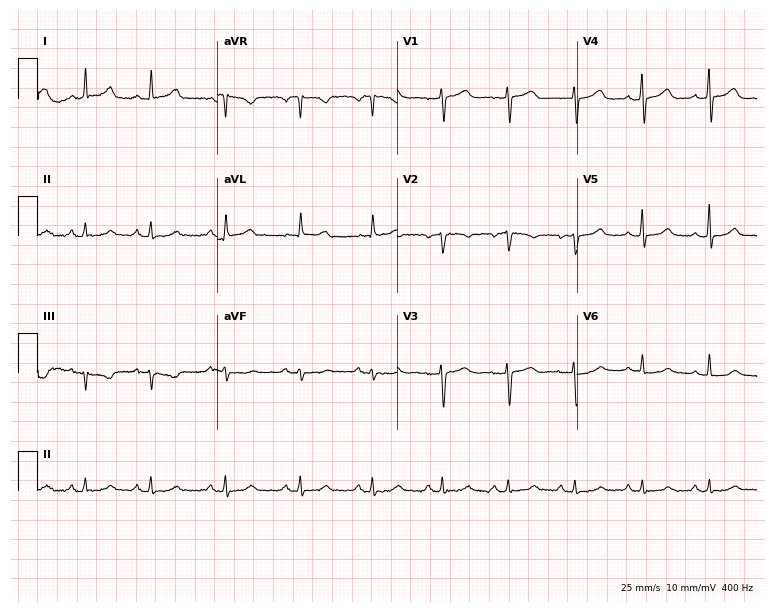
12-lead ECG from a female patient, 52 years old. Recorded interpretation: within normal limits.